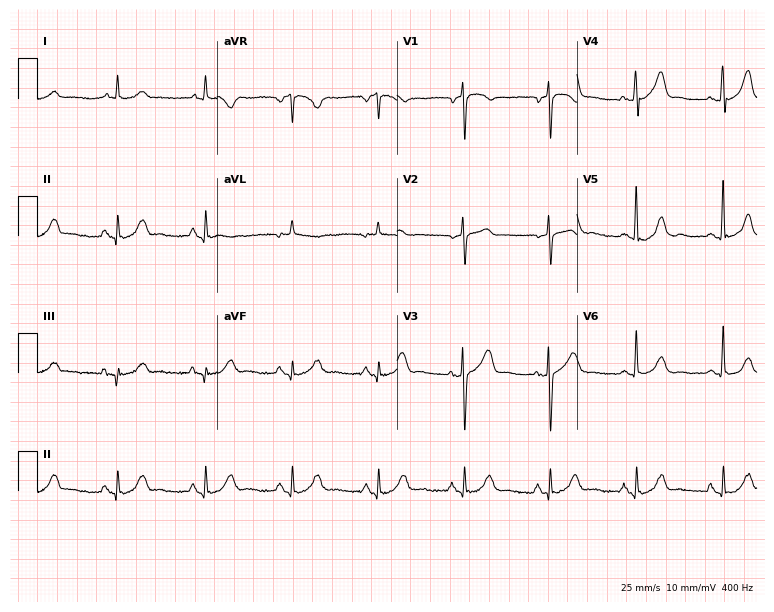
Standard 12-lead ECG recorded from a 79-year-old female (7.3-second recording at 400 Hz). Read as a normal ECG.